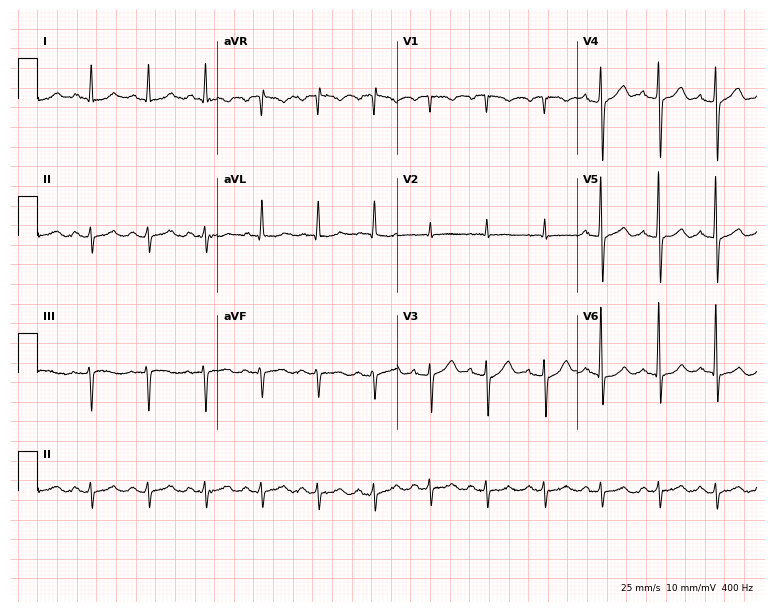
Electrocardiogram, a man, 65 years old. Of the six screened findings (first-degree AV block, right bundle branch block, left bundle branch block, sinus bradycardia, atrial fibrillation, sinus tachycardia), none is recorded.